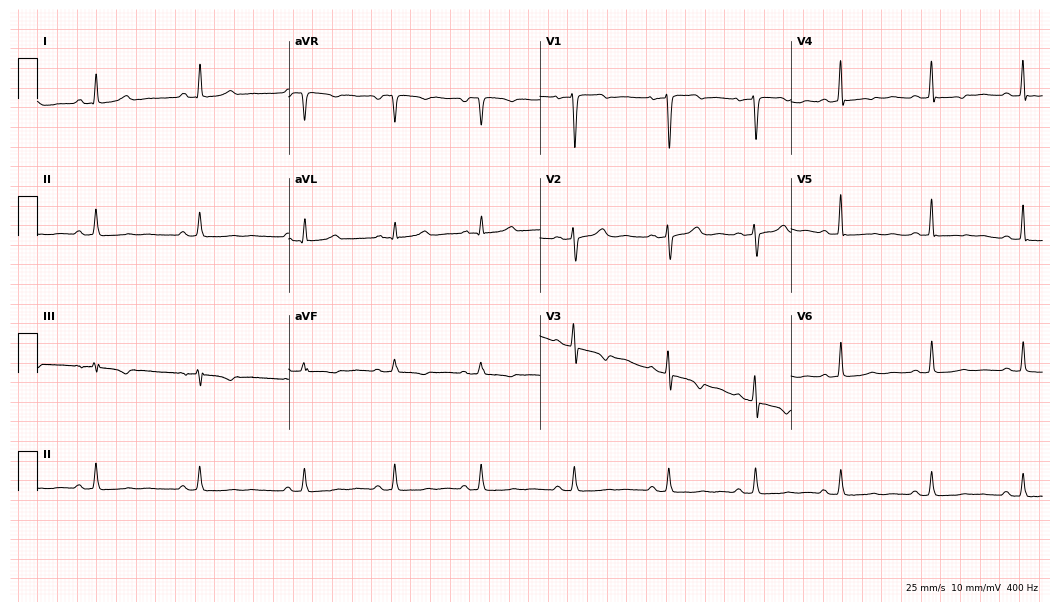
Resting 12-lead electrocardiogram. Patient: a female, 52 years old. None of these six findings is recorded: first-degree AV block, right bundle branch block (RBBB), left bundle branch block (LBBB), sinus bradycardia, atrial fibrillation (AF), sinus tachycardia. Only these six findings were labelled.